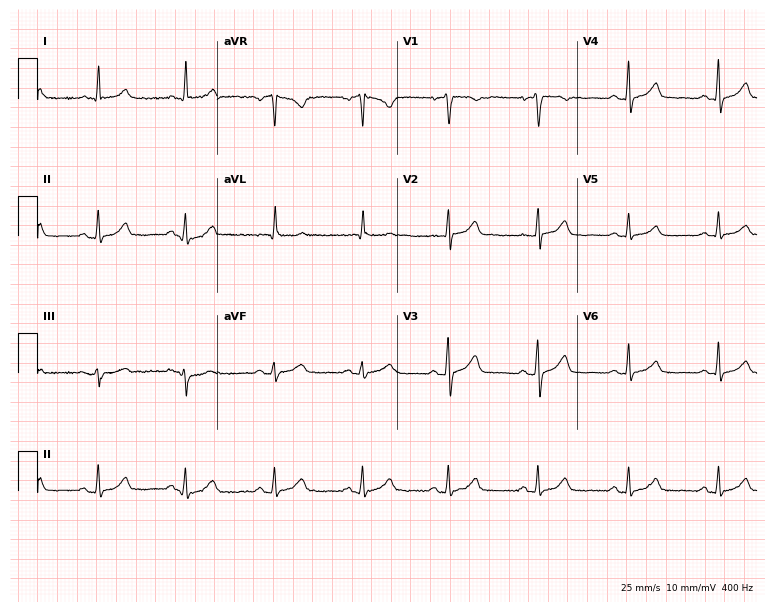
Standard 12-lead ECG recorded from a 70-year-old female patient. Read as a normal ECG.